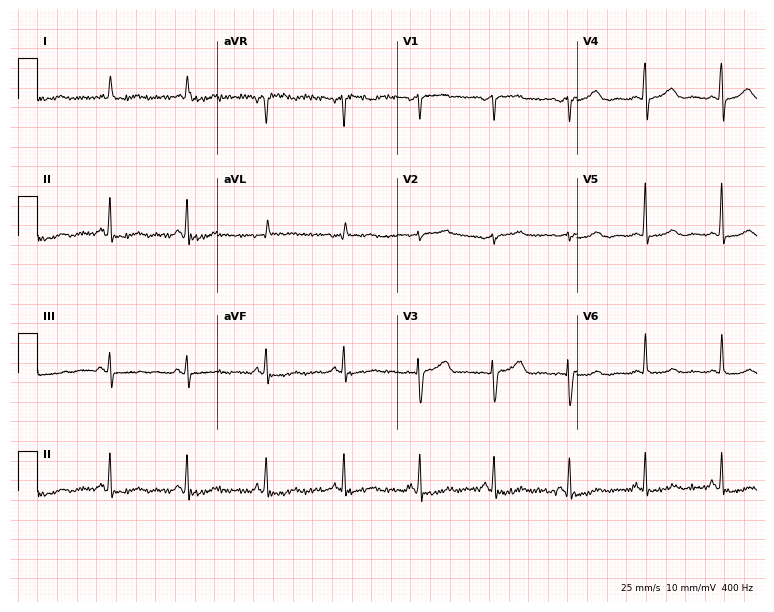
Electrocardiogram, a 51-year-old female patient. Of the six screened findings (first-degree AV block, right bundle branch block (RBBB), left bundle branch block (LBBB), sinus bradycardia, atrial fibrillation (AF), sinus tachycardia), none is recorded. Findings outside these six are not listed.